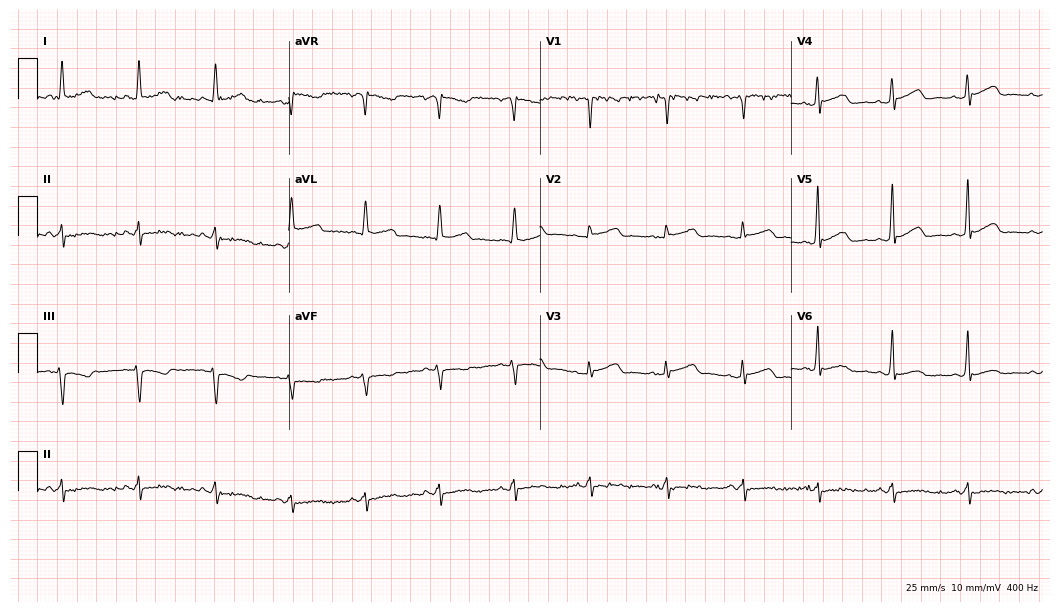
Standard 12-lead ECG recorded from a female patient, 48 years old. Read as a normal ECG.